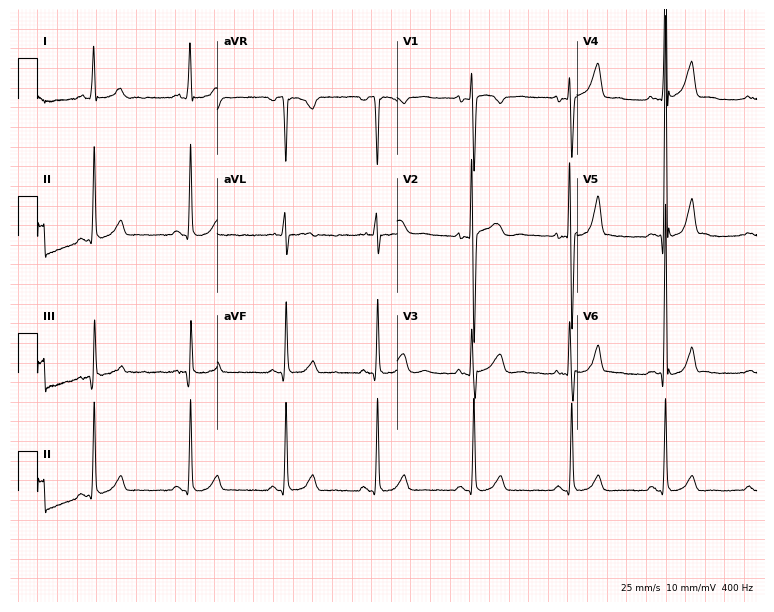
12-lead ECG (7.3-second recording at 400 Hz) from a male patient, 35 years old. Labelled as a normal ECG.